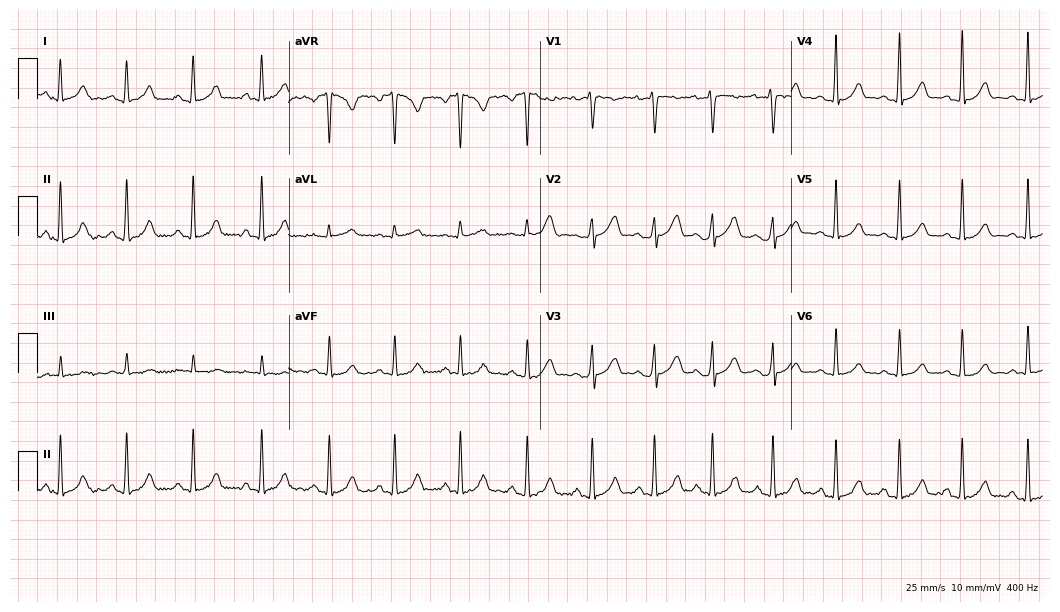
ECG (10.2-second recording at 400 Hz) — a 22-year-old female. Labelled as a normal ECG.